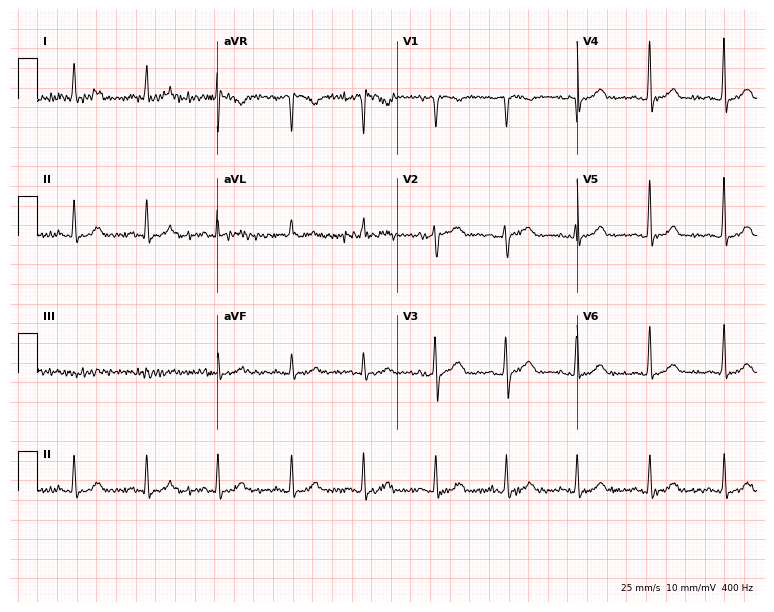
Standard 12-lead ECG recorded from a woman, 61 years old. Read as a normal ECG.